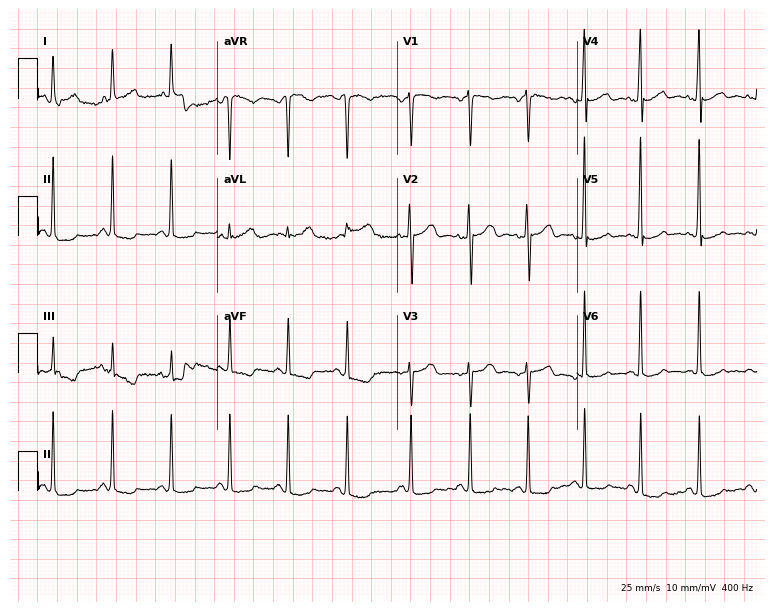
12-lead ECG from a woman, 52 years old. Screened for six findings — first-degree AV block, right bundle branch block, left bundle branch block, sinus bradycardia, atrial fibrillation, sinus tachycardia — none is recorded. Other findings, if any, are not listed.